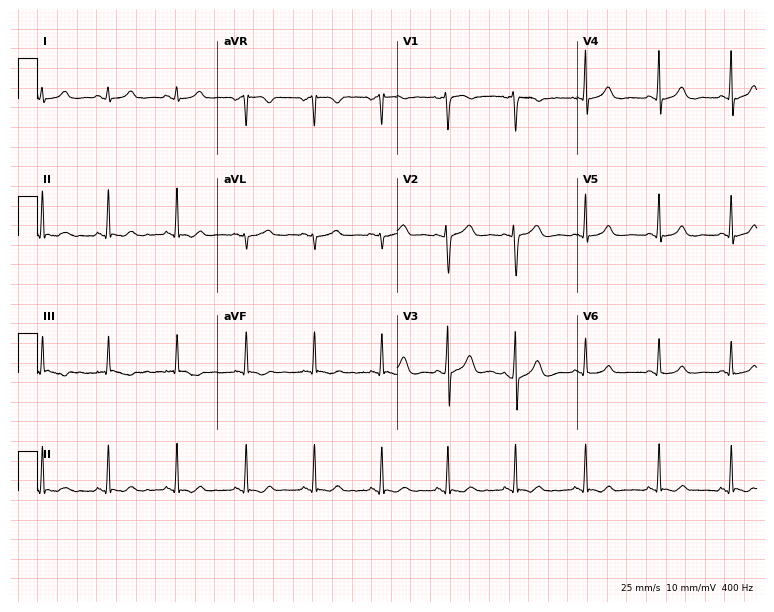
ECG — a female, 20 years old. Labelled as a normal ECG.